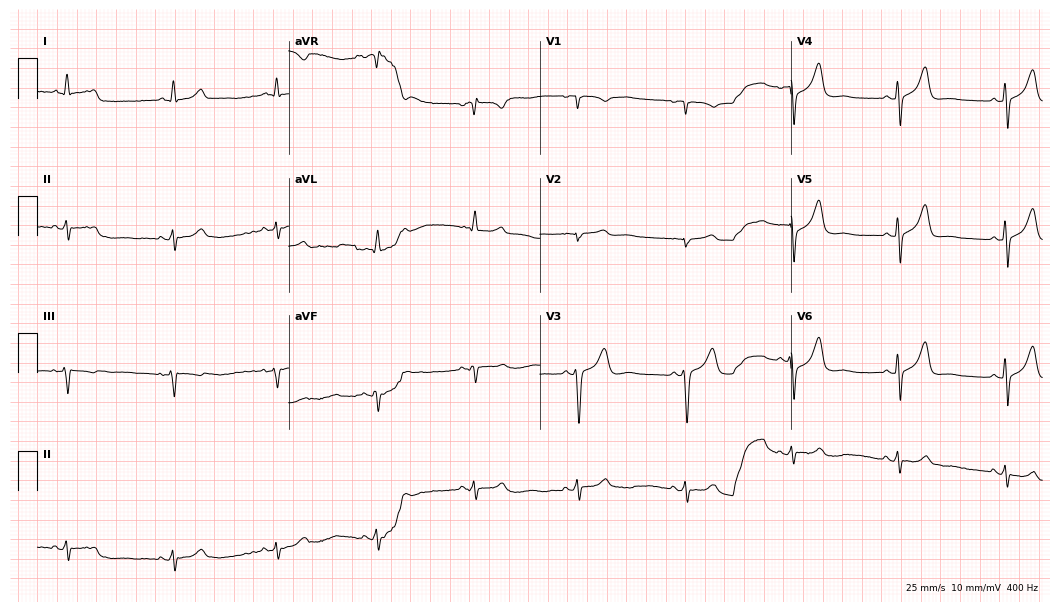
ECG (10.2-second recording at 400 Hz) — a 44-year-old man. Screened for six findings — first-degree AV block, right bundle branch block (RBBB), left bundle branch block (LBBB), sinus bradycardia, atrial fibrillation (AF), sinus tachycardia — none is recorded. Findings outside these six are not listed.